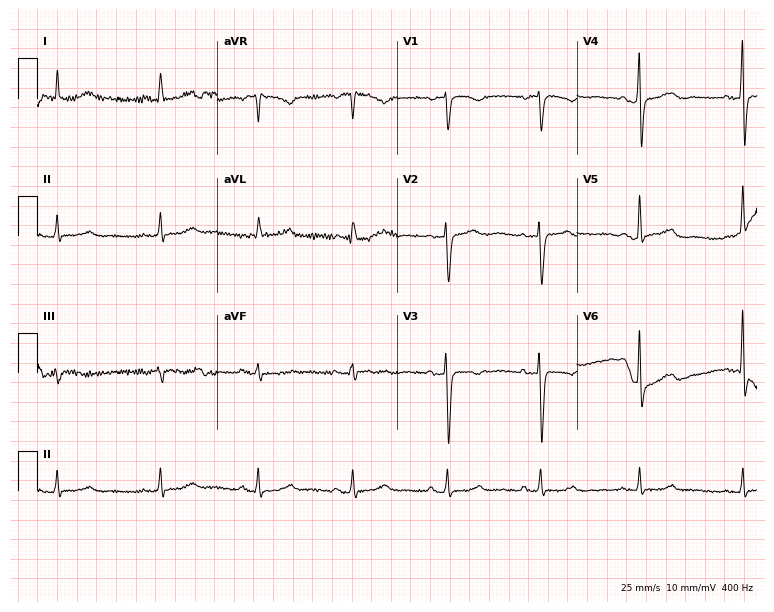
Resting 12-lead electrocardiogram (7.3-second recording at 400 Hz). Patient: a 69-year-old female. Read as a normal ECG.